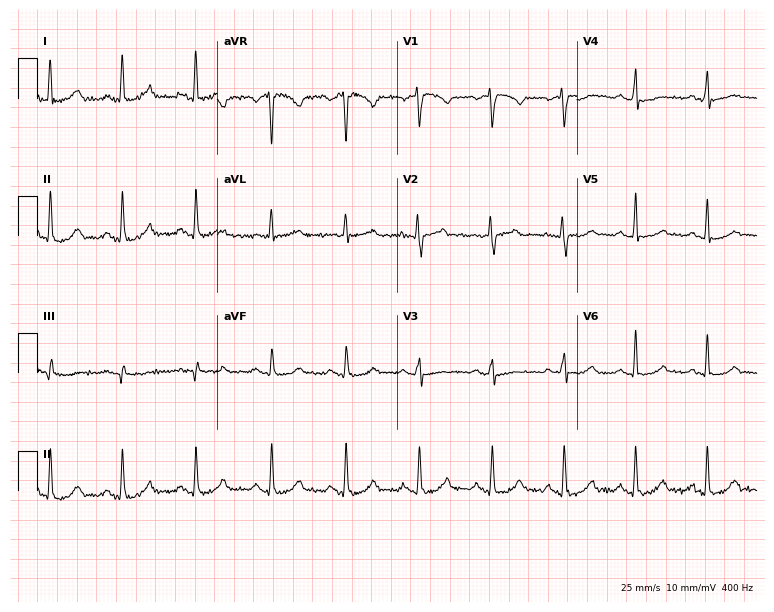
ECG (7.3-second recording at 400 Hz) — a female patient, 50 years old. Labelled as a normal ECG.